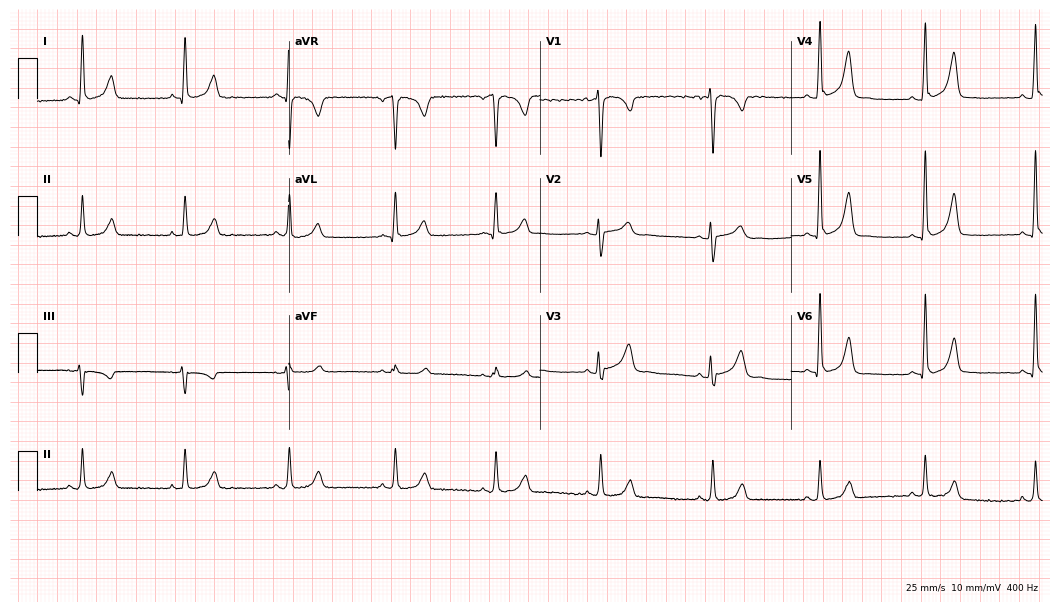
12-lead ECG from a female patient, 28 years old. No first-degree AV block, right bundle branch block (RBBB), left bundle branch block (LBBB), sinus bradycardia, atrial fibrillation (AF) or sinus tachycardia recorded for this tracing. Other findings, if any, are not listed.